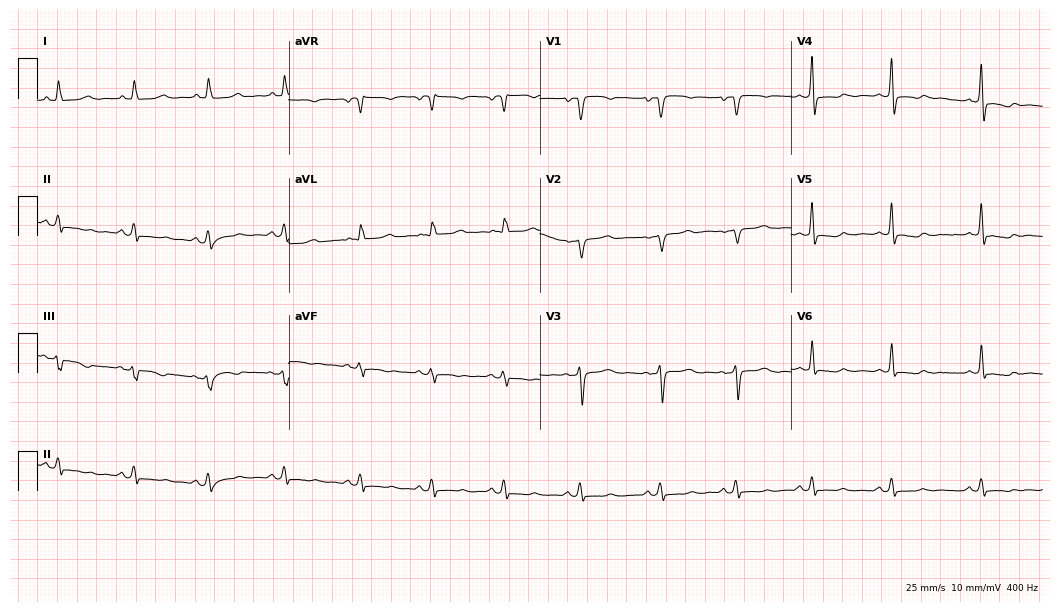
ECG (10.2-second recording at 400 Hz) — a 49-year-old female. Screened for six findings — first-degree AV block, right bundle branch block (RBBB), left bundle branch block (LBBB), sinus bradycardia, atrial fibrillation (AF), sinus tachycardia — none is recorded.